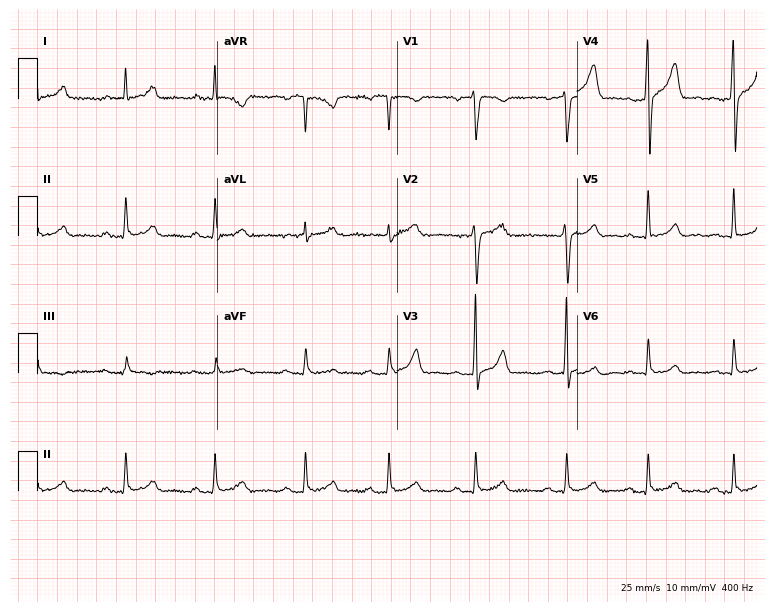
Resting 12-lead electrocardiogram. Patient: a man, 48 years old. Read as a normal ECG.